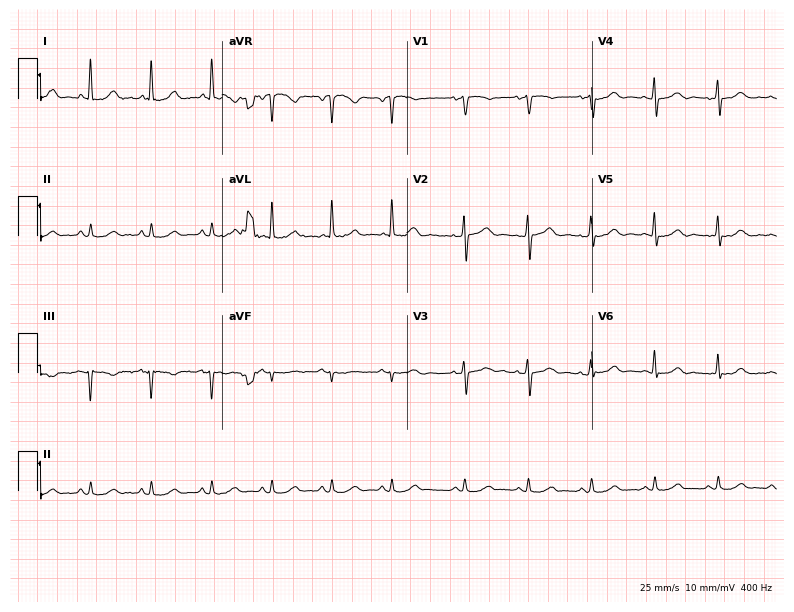
12-lead ECG from a 64-year-old female patient. Screened for six findings — first-degree AV block, right bundle branch block, left bundle branch block, sinus bradycardia, atrial fibrillation, sinus tachycardia — none is recorded.